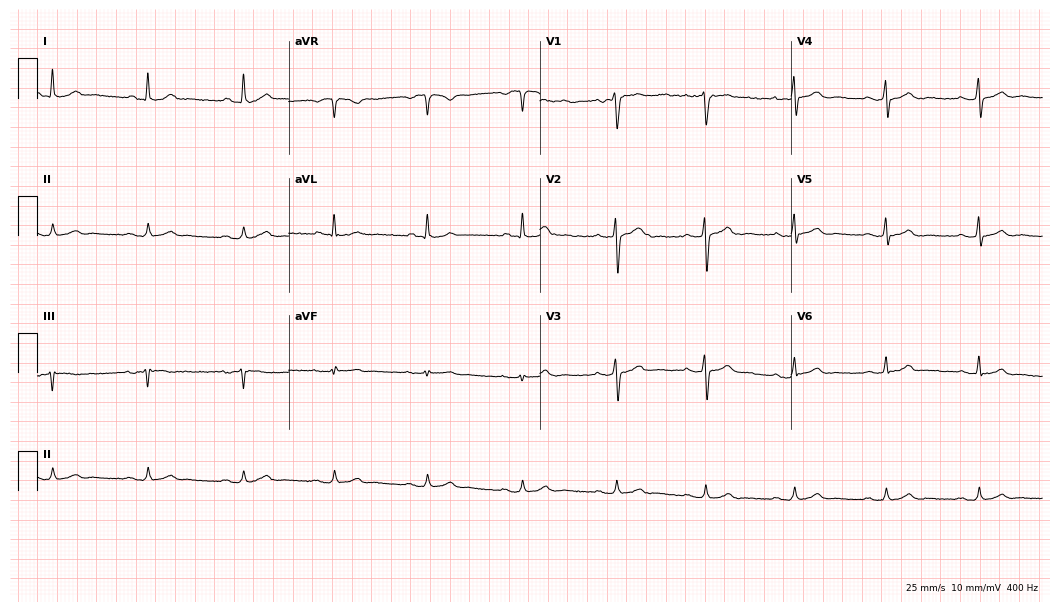
Standard 12-lead ECG recorded from a 56-year-old man. None of these six findings is recorded: first-degree AV block, right bundle branch block (RBBB), left bundle branch block (LBBB), sinus bradycardia, atrial fibrillation (AF), sinus tachycardia. Findings outside these six are not listed.